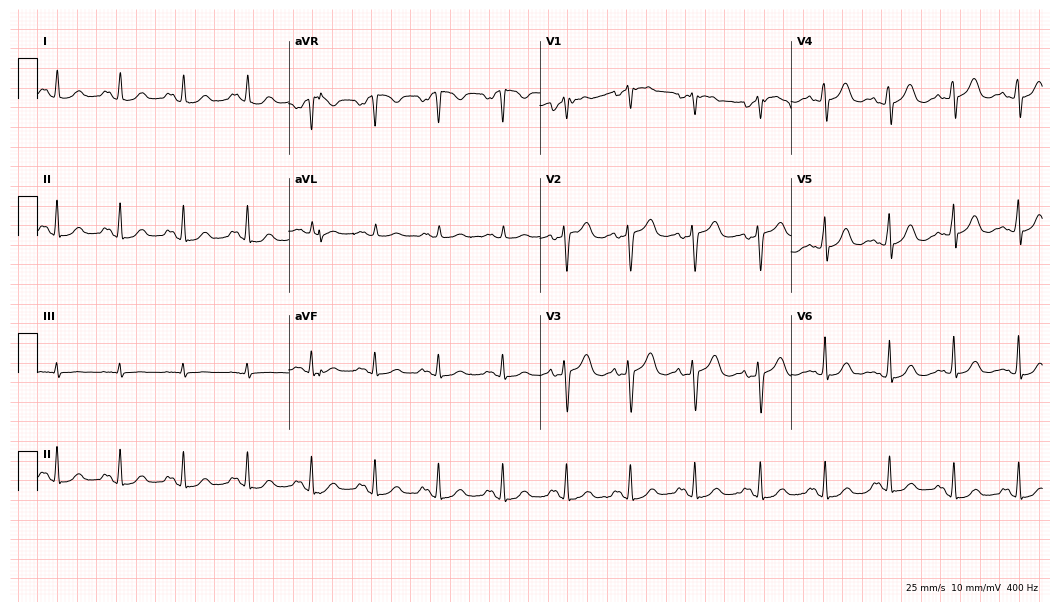
12-lead ECG from a woman, 53 years old. No first-degree AV block, right bundle branch block (RBBB), left bundle branch block (LBBB), sinus bradycardia, atrial fibrillation (AF) or sinus tachycardia recorded for this tracing. Only these six findings were labelled.